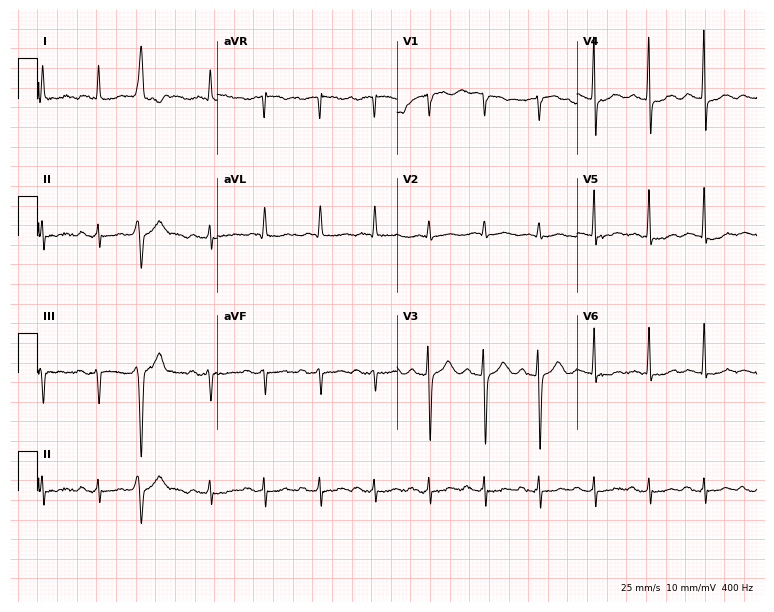
Electrocardiogram, an 85-year-old male. Interpretation includes sinus tachycardia (a sinus rate of 100 beats per minute or more).